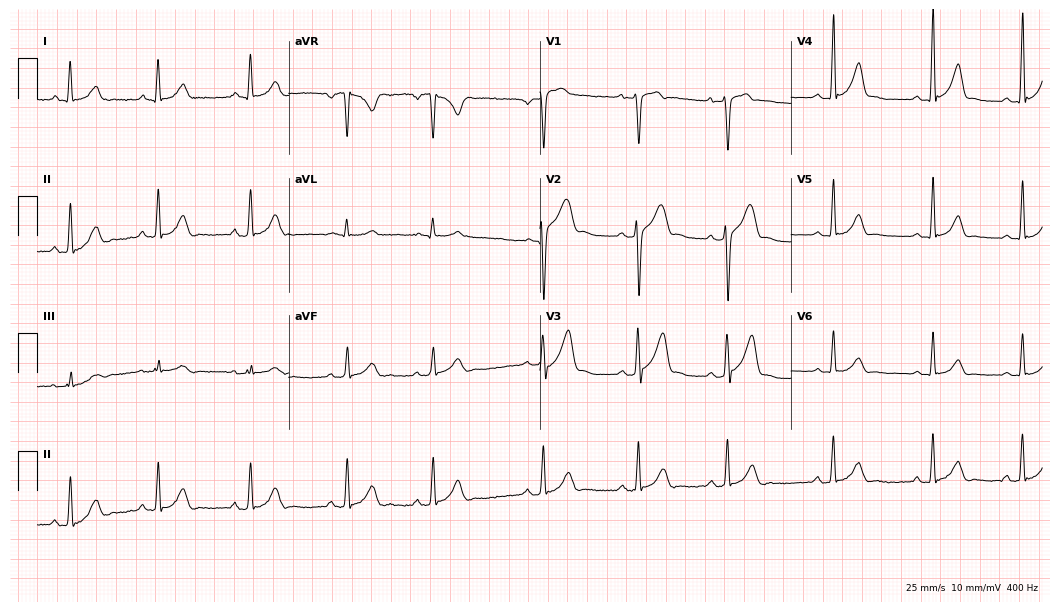
Resting 12-lead electrocardiogram (10.2-second recording at 400 Hz). Patient: a male, 20 years old. Read as a normal ECG.